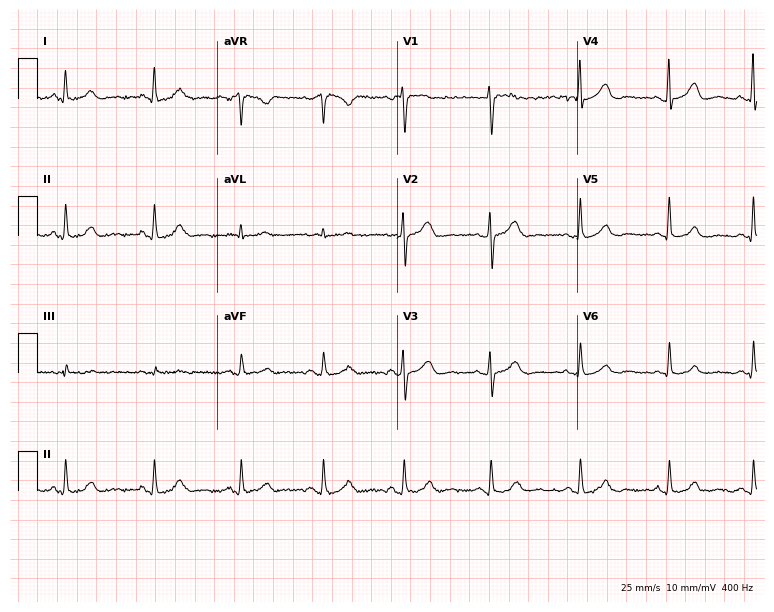
12-lead ECG from a female patient, 46 years old. Recorded interpretation: within normal limits.